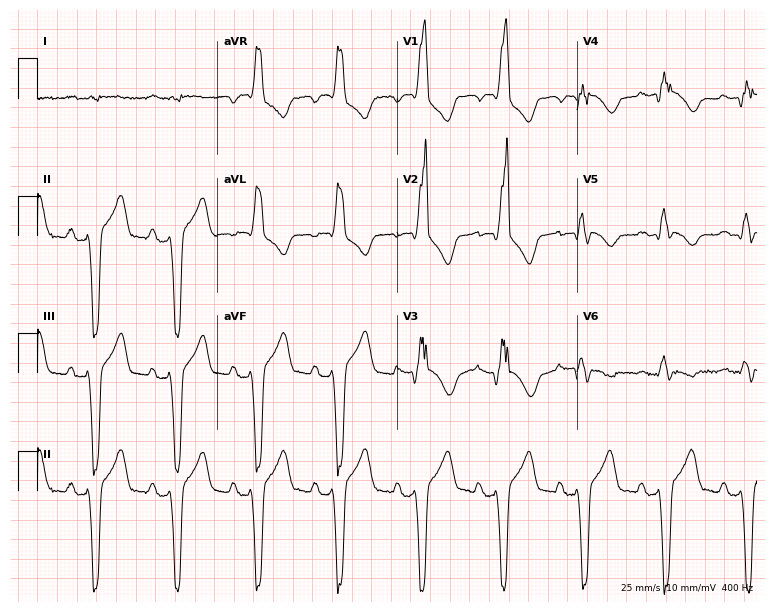
Resting 12-lead electrocardiogram. Patient: a 69-year-old male. None of these six findings is recorded: first-degree AV block, right bundle branch block, left bundle branch block, sinus bradycardia, atrial fibrillation, sinus tachycardia.